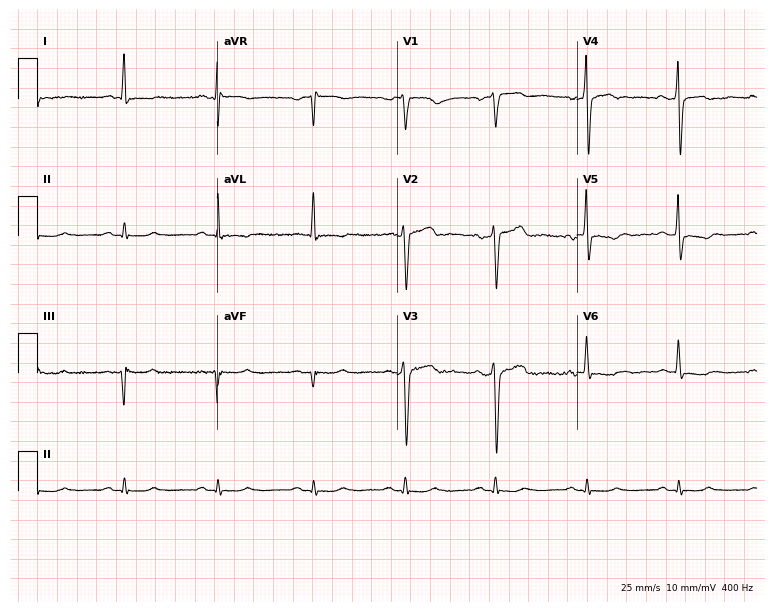
12-lead ECG from a male patient, 47 years old. Screened for six findings — first-degree AV block, right bundle branch block (RBBB), left bundle branch block (LBBB), sinus bradycardia, atrial fibrillation (AF), sinus tachycardia — none is recorded.